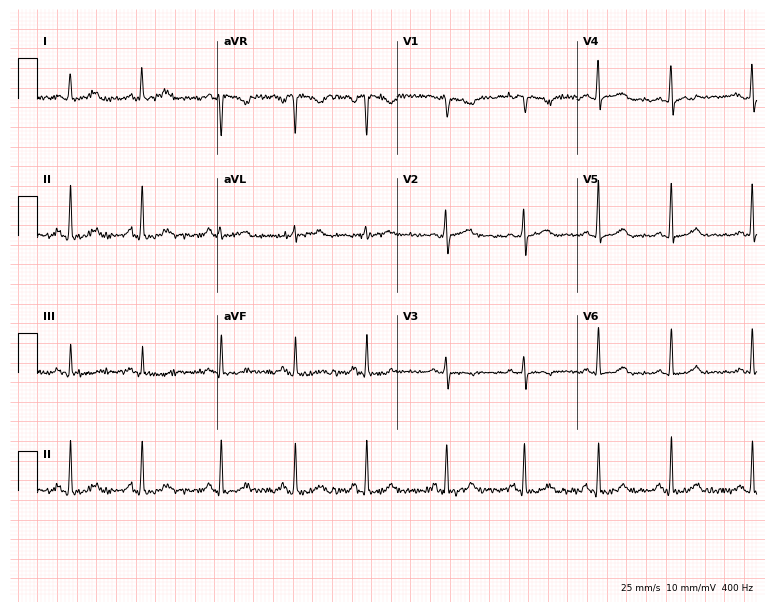
Standard 12-lead ECG recorded from a 43-year-old female patient (7.3-second recording at 400 Hz). Read as a normal ECG.